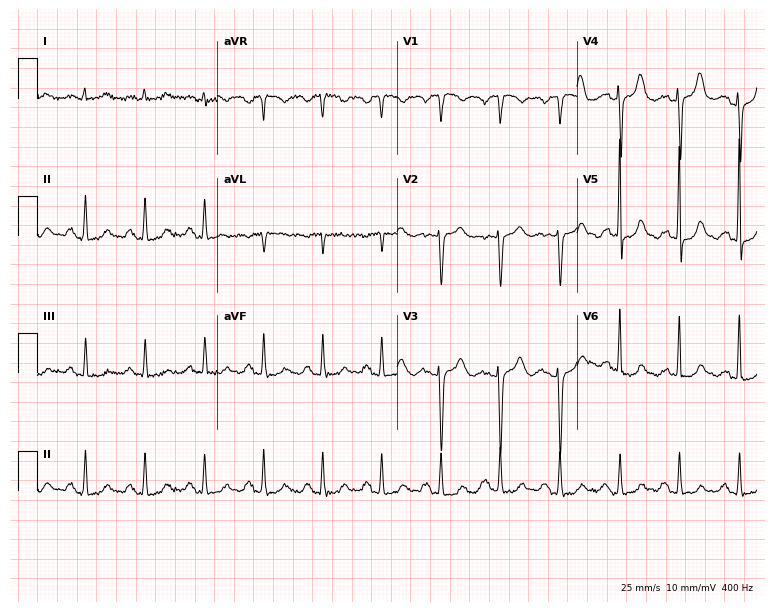
12-lead ECG from a female, 84 years old. Recorded interpretation: within normal limits.